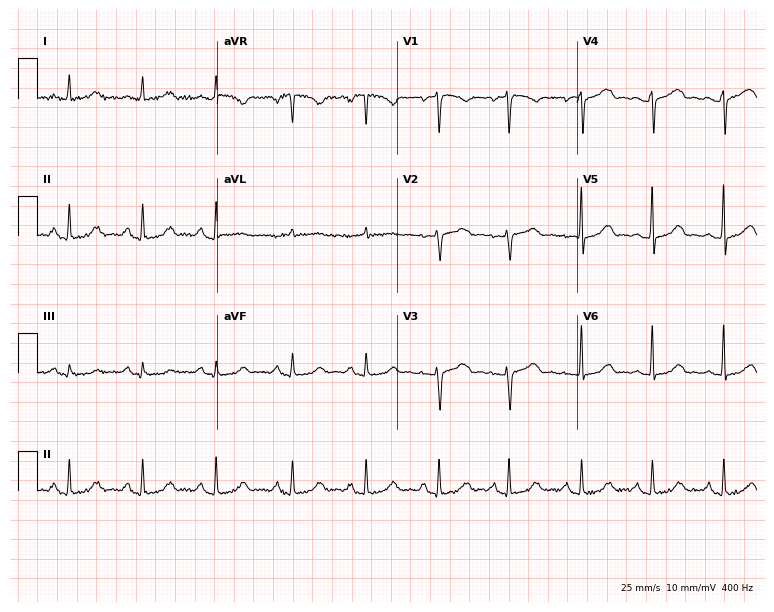
12-lead ECG (7.3-second recording at 400 Hz) from a 70-year-old woman. Labelled as a normal ECG.